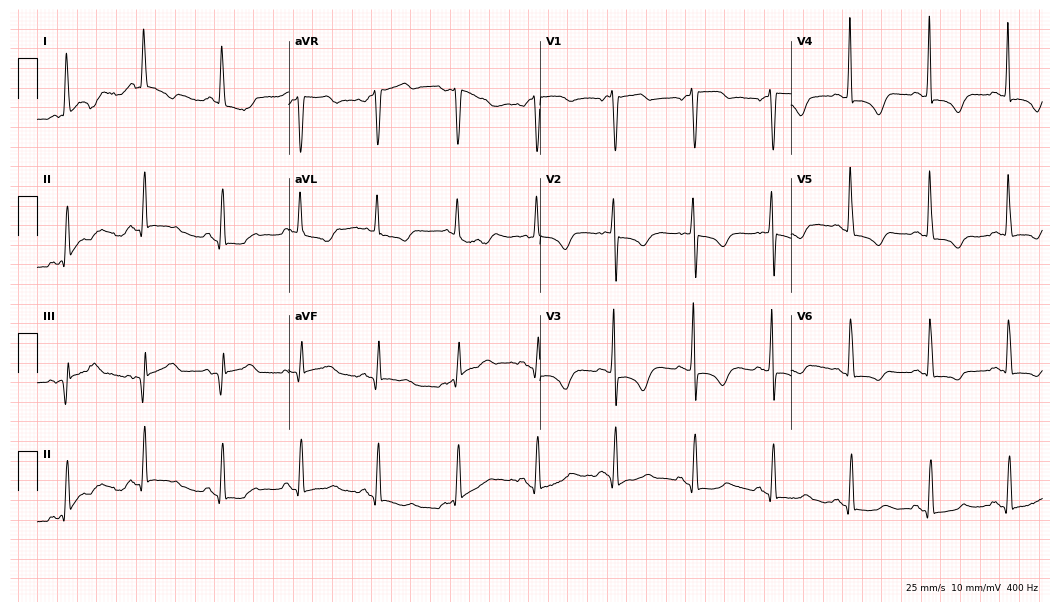
Resting 12-lead electrocardiogram. Patient: a 76-year-old woman. None of these six findings is recorded: first-degree AV block, right bundle branch block, left bundle branch block, sinus bradycardia, atrial fibrillation, sinus tachycardia.